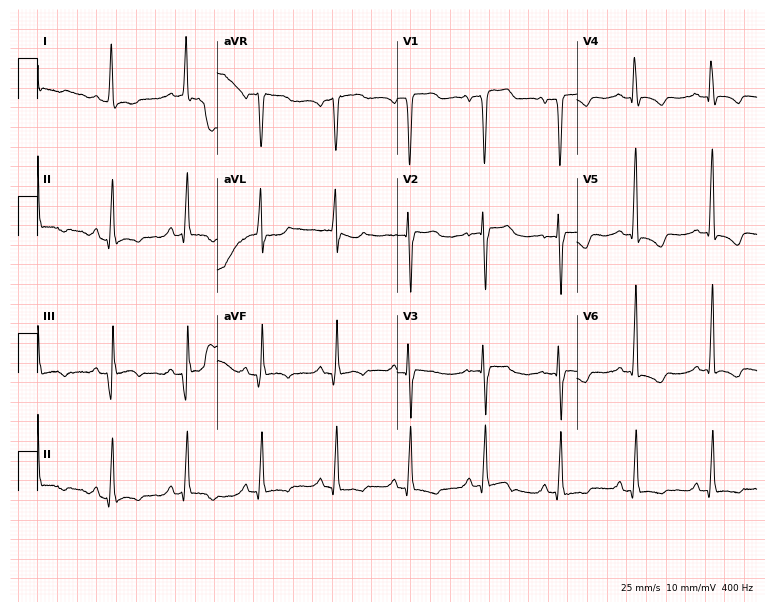
Electrocardiogram (7.3-second recording at 400 Hz), a 75-year-old woman. Of the six screened findings (first-degree AV block, right bundle branch block (RBBB), left bundle branch block (LBBB), sinus bradycardia, atrial fibrillation (AF), sinus tachycardia), none is recorded.